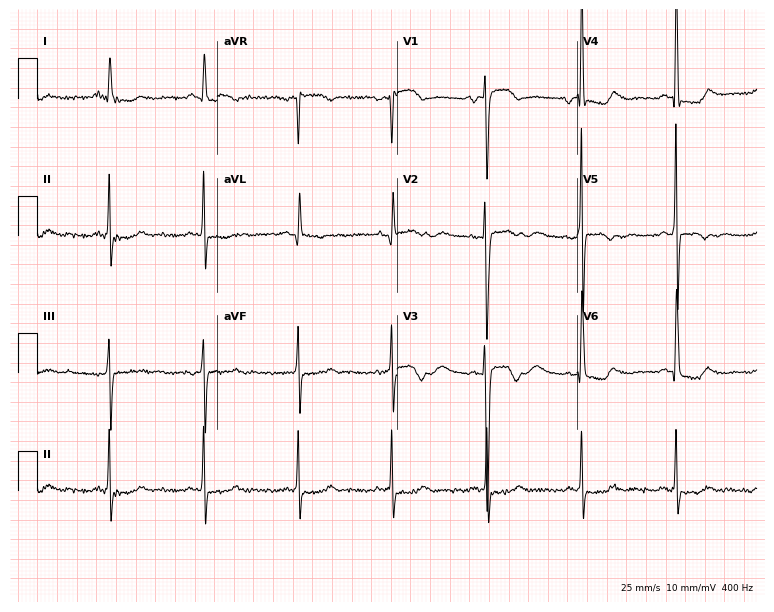
Resting 12-lead electrocardiogram. Patient: a female, 70 years old. None of these six findings is recorded: first-degree AV block, right bundle branch block, left bundle branch block, sinus bradycardia, atrial fibrillation, sinus tachycardia.